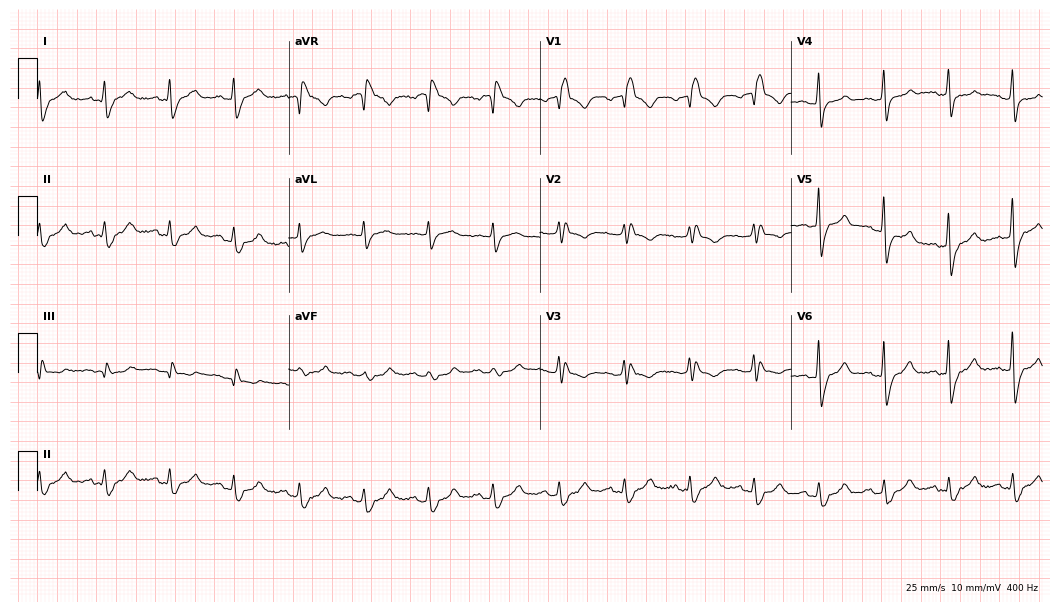
Electrocardiogram, a 66-year-old man. Interpretation includes right bundle branch block.